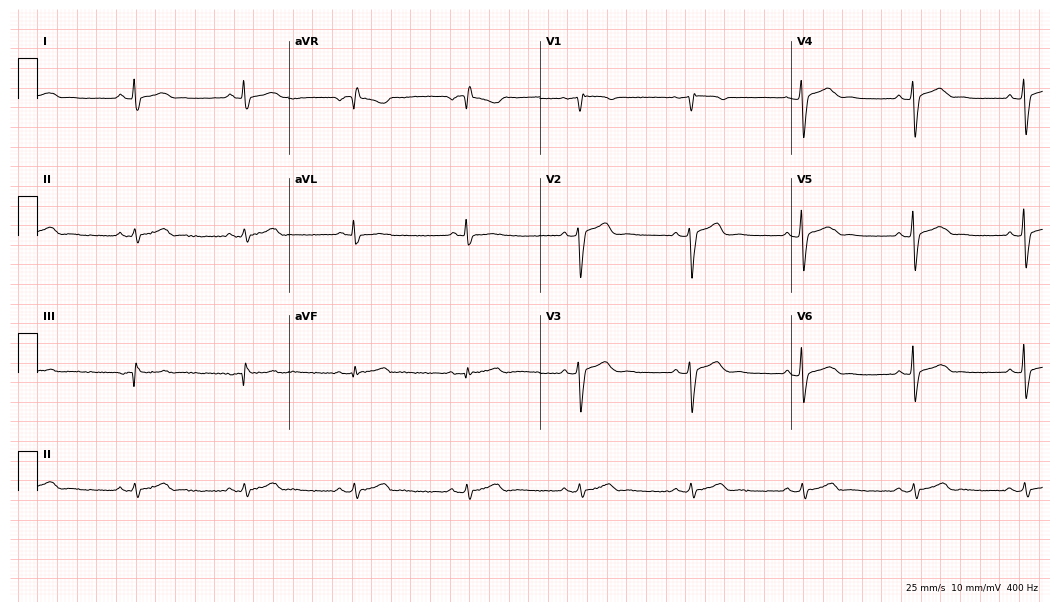
Electrocardiogram, a 54-year-old man. Of the six screened findings (first-degree AV block, right bundle branch block (RBBB), left bundle branch block (LBBB), sinus bradycardia, atrial fibrillation (AF), sinus tachycardia), none is recorded.